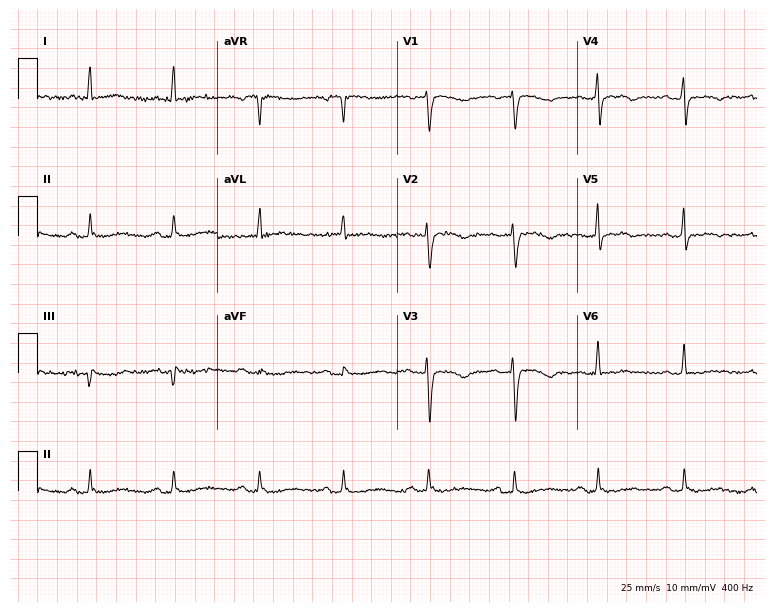
Electrocardiogram, a female patient, 64 years old. Of the six screened findings (first-degree AV block, right bundle branch block, left bundle branch block, sinus bradycardia, atrial fibrillation, sinus tachycardia), none is recorded. Findings outside these six are not listed.